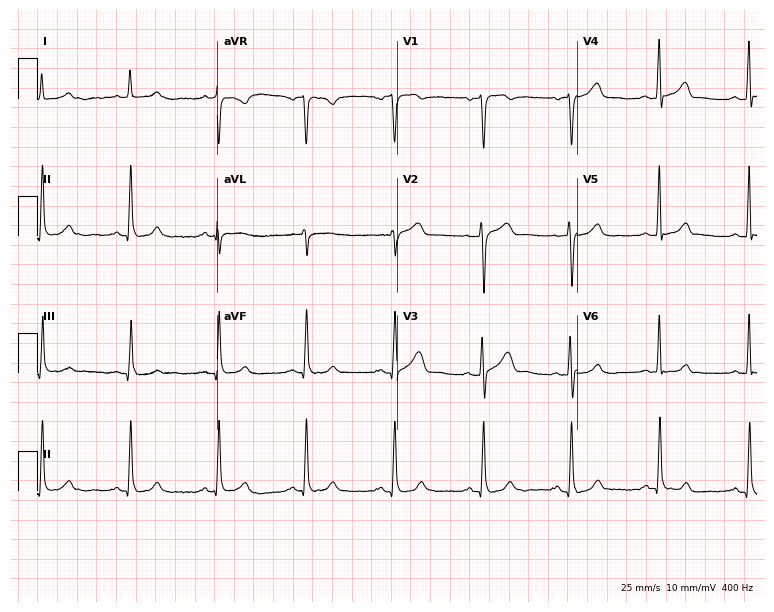
Standard 12-lead ECG recorded from a male, 53 years old (7.3-second recording at 400 Hz). Read as a normal ECG.